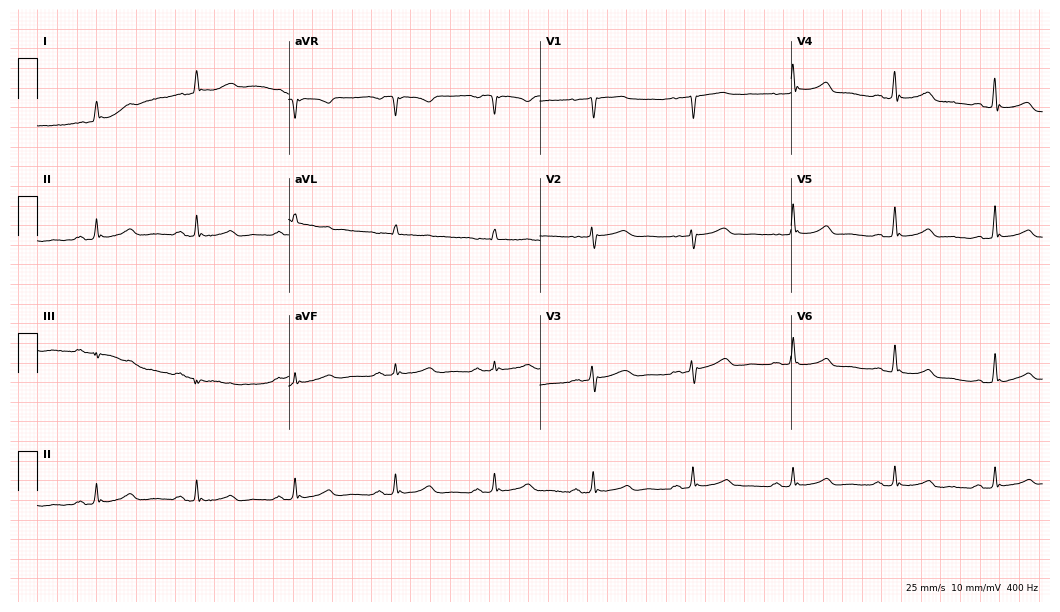
Resting 12-lead electrocardiogram (10.2-second recording at 400 Hz). Patient: a female, 62 years old. Read as a normal ECG.